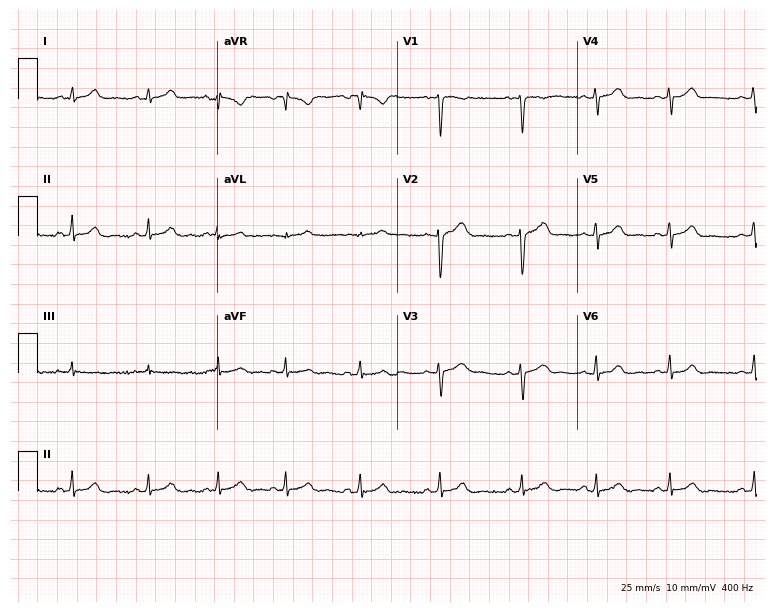
Standard 12-lead ECG recorded from a female, 21 years old (7.3-second recording at 400 Hz). Read as a normal ECG.